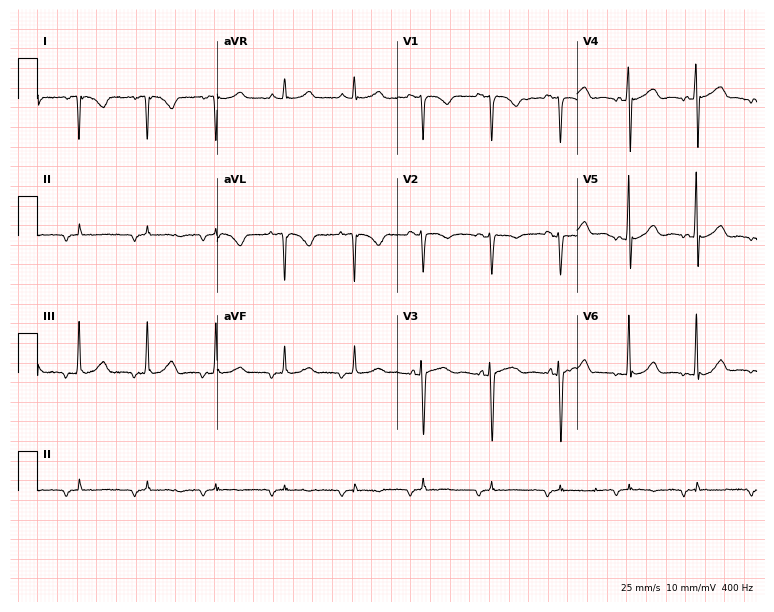
12-lead ECG from a female, 58 years old (7.3-second recording at 400 Hz). No first-degree AV block, right bundle branch block (RBBB), left bundle branch block (LBBB), sinus bradycardia, atrial fibrillation (AF) or sinus tachycardia recorded for this tracing. Only these six findings were labelled.